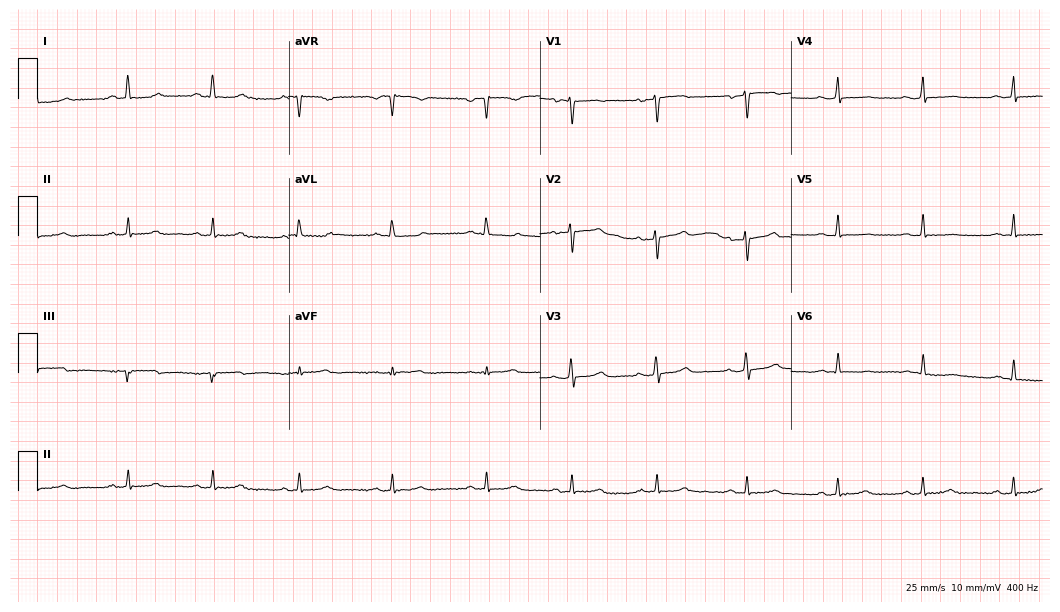
12-lead ECG from a female, 34 years old. Screened for six findings — first-degree AV block, right bundle branch block (RBBB), left bundle branch block (LBBB), sinus bradycardia, atrial fibrillation (AF), sinus tachycardia — none is recorded.